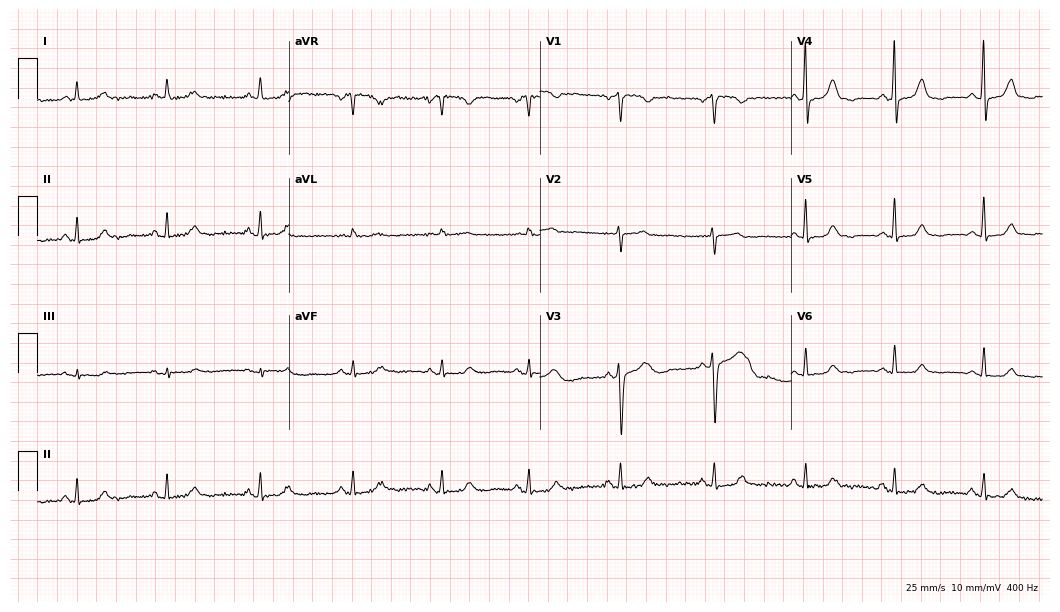
ECG (10.2-second recording at 400 Hz) — a female, 57 years old. Labelled as a normal ECG.